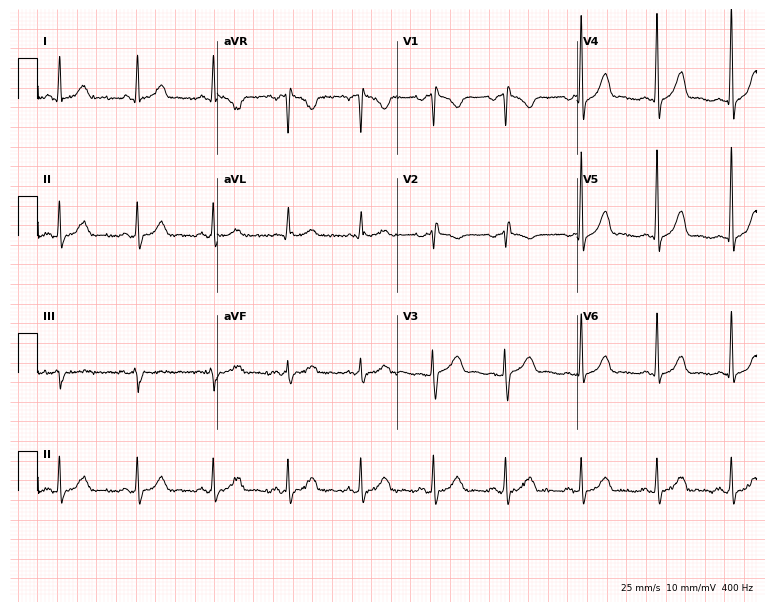
ECG — a female, 34 years old. Screened for six findings — first-degree AV block, right bundle branch block (RBBB), left bundle branch block (LBBB), sinus bradycardia, atrial fibrillation (AF), sinus tachycardia — none is recorded.